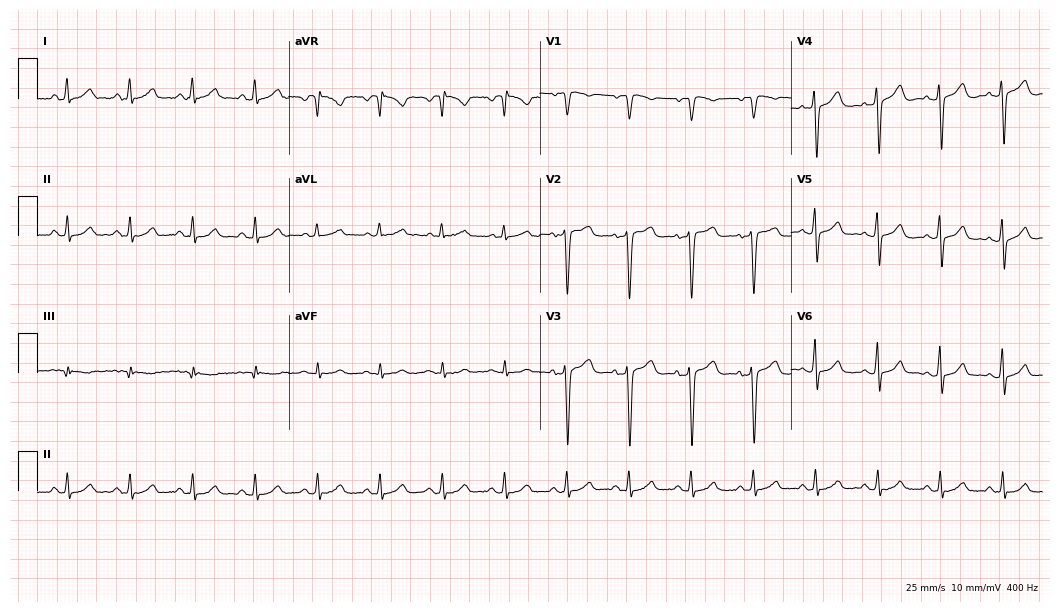
12-lead ECG from a 53-year-old female. Labelled as a normal ECG.